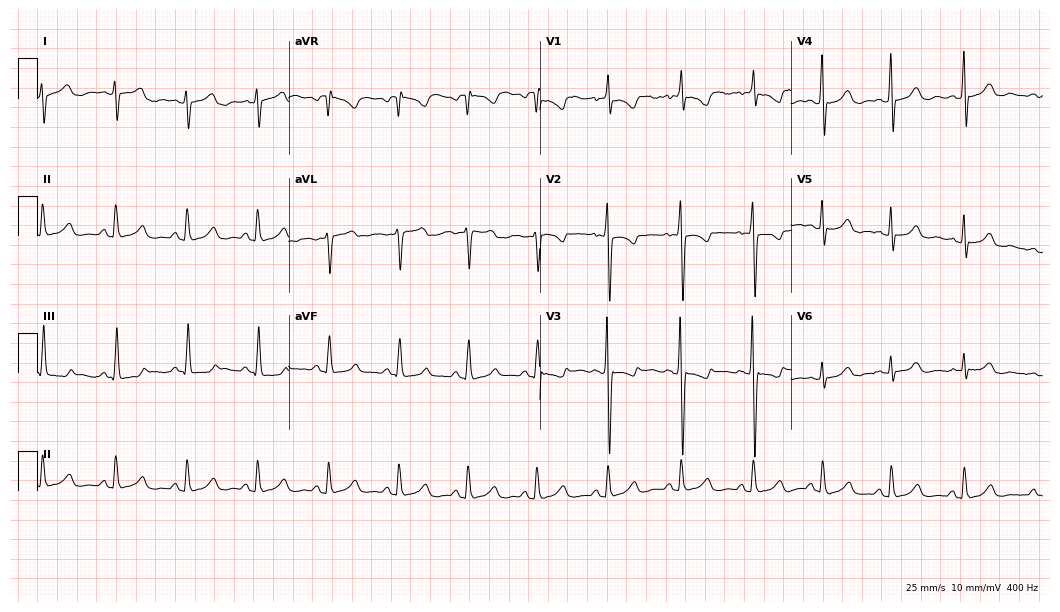
12-lead ECG from a female patient, 24 years old (10.2-second recording at 400 Hz). No first-degree AV block, right bundle branch block (RBBB), left bundle branch block (LBBB), sinus bradycardia, atrial fibrillation (AF) or sinus tachycardia recorded for this tracing. Other findings, if any, are not listed.